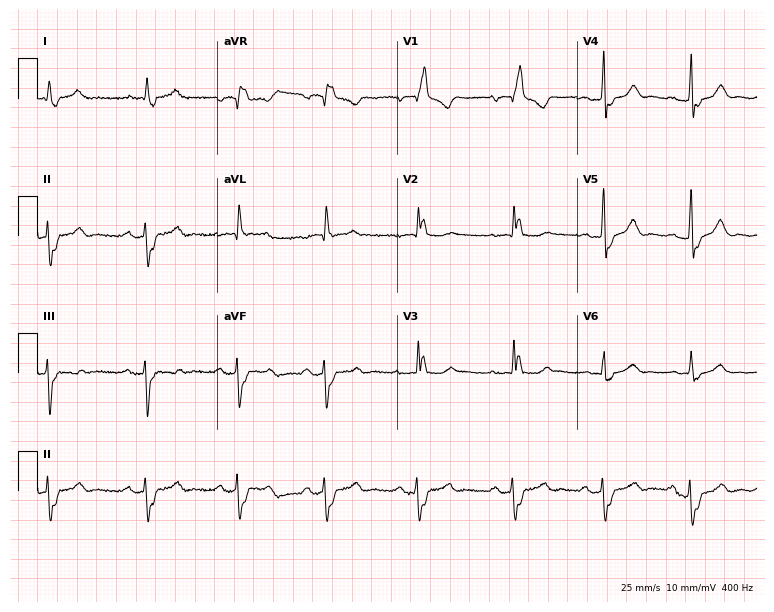
12-lead ECG from a 71-year-old male. Shows right bundle branch block (RBBB).